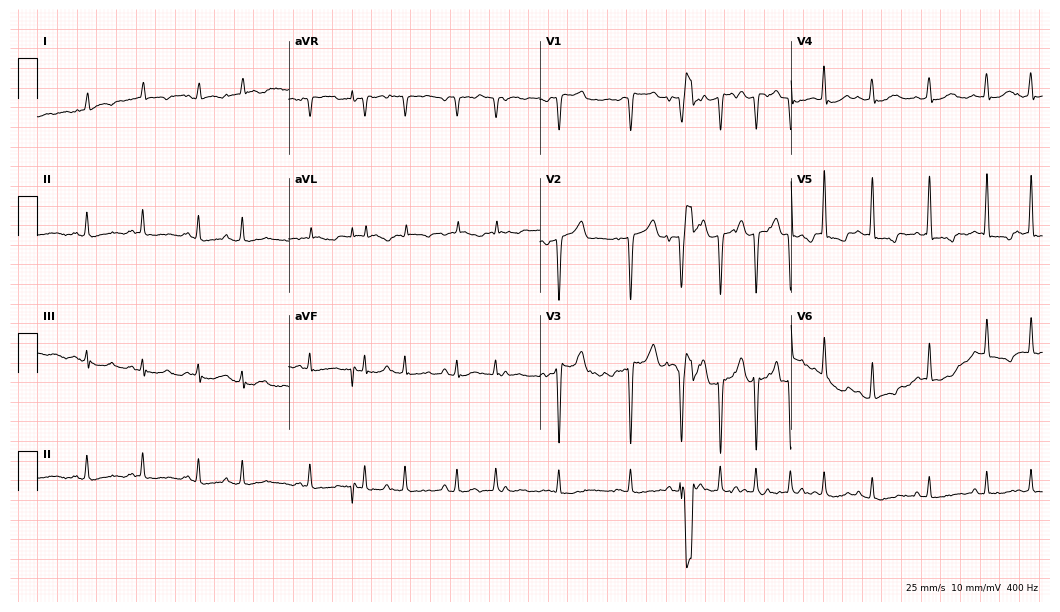
ECG (10.2-second recording at 400 Hz) — an 82-year-old male patient. Screened for six findings — first-degree AV block, right bundle branch block, left bundle branch block, sinus bradycardia, atrial fibrillation, sinus tachycardia — none is recorded. Other findings, if any, are not listed.